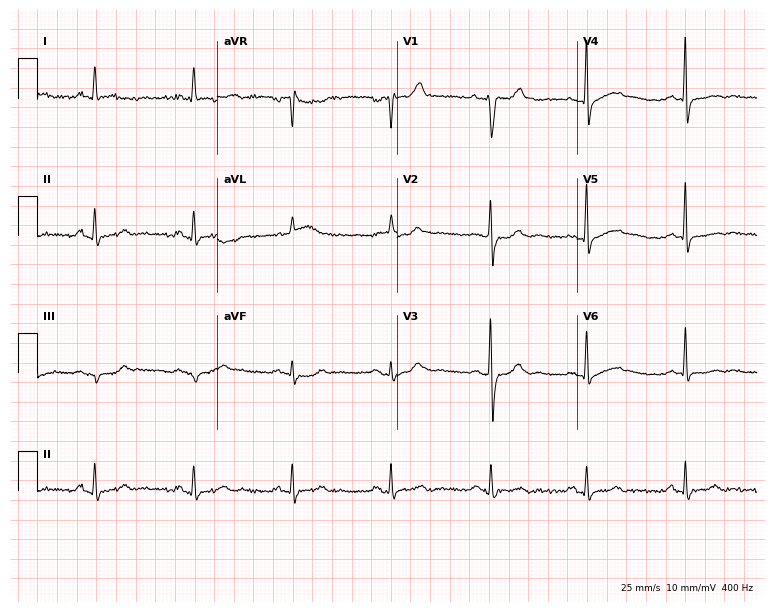
Electrocardiogram, a 75-year-old male. Of the six screened findings (first-degree AV block, right bundle branch block, left bundle branch block, sinus bradycardia, atrial fibrillation, sinus tachycardia), none is recorded. Findings outside these six are not listed.